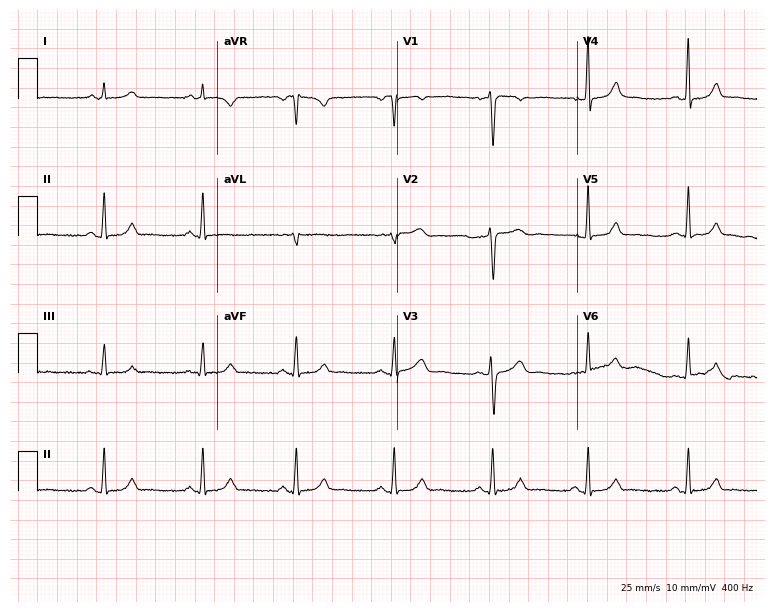
Standard 12-lead ECG recorded from a 52-year-old woman (7.3-second recording at 400 Hz). None of these six findings is recorded: first-degree AV block, right bundle branch block (RBBB), left bundle branch block (LBBB), sinus bradycardia, atrial fibrillation (AF), sinus tachycardia. Only these six findings were labelled.